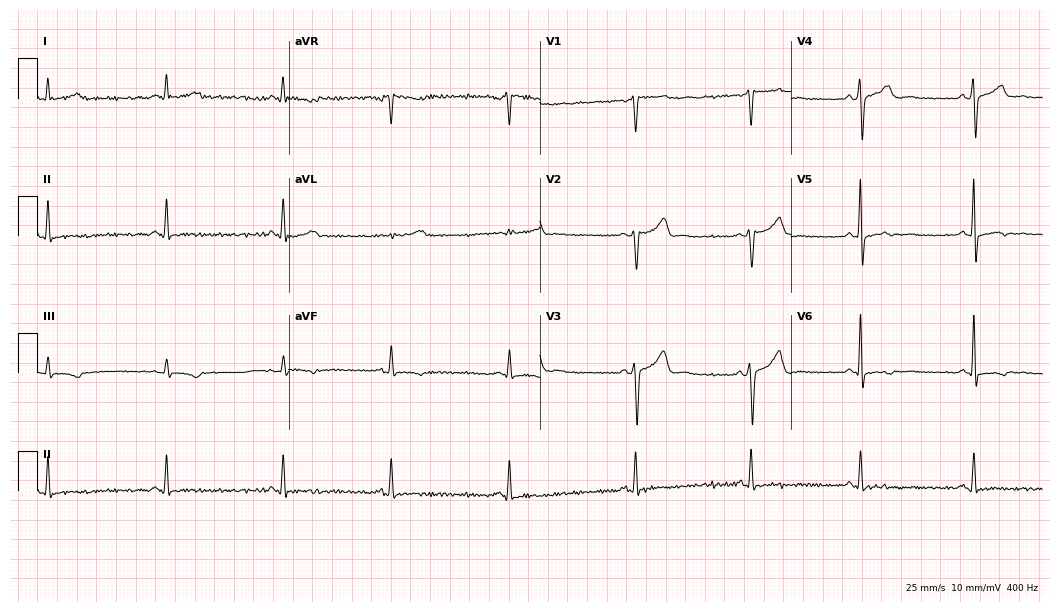
Resting 12-lead electrocardiogram (10.2-second recording at 400 Hz). Patient: a male, 29 years old. None of these six findings is recorded: first-degree AV block, right bundle branch block, left bundle branch block, sinus bradycardia, atrial fibrillation, sinus tachycardia. Findings outside these six are not listed.